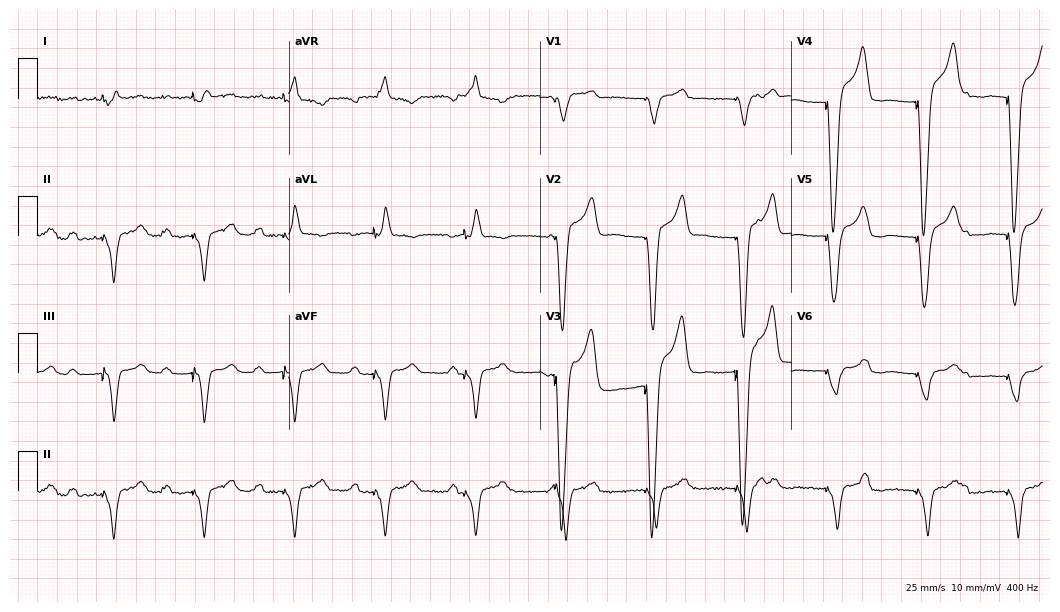
Resting 12-lead electrocardiogram. Patient: a man, 55 years old. None of these six findings is recorded: first-degree AV block, right bundle branch block (RBBB), left bundle branch block (LBBB), sinus bradycardia, atrial fibrillation (AF), sinus tachycardia. Other findings, if any, are not listed.